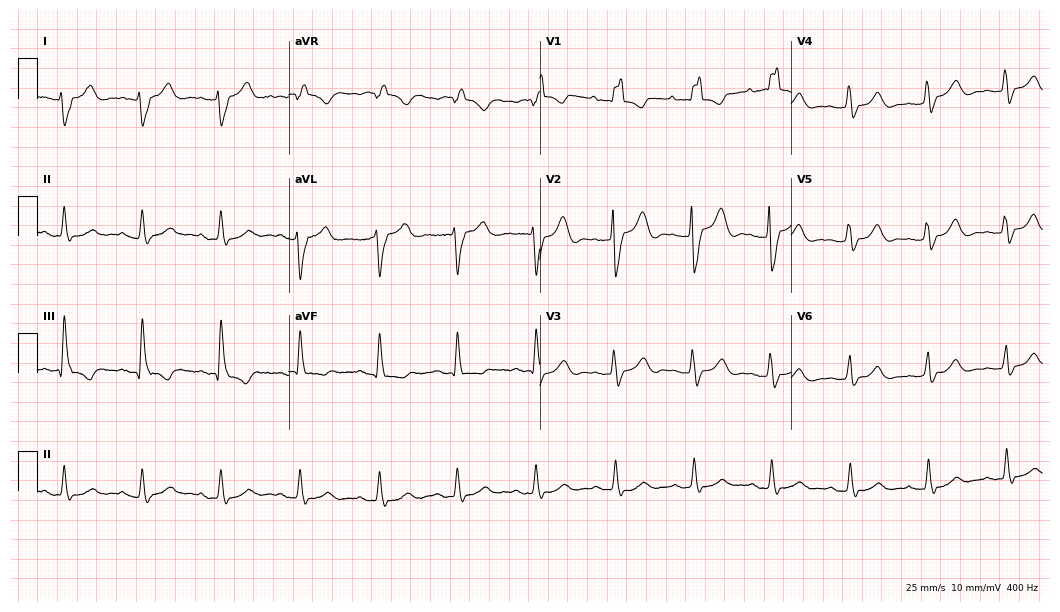
Electrocardiogram, a 25-year-old male. Of the six screened findings (first-degree AV block, right bundle branch block, left bundle branch block, sinus bradycardia, atrial fibrillation, sinus tachycardia), none is recorded.